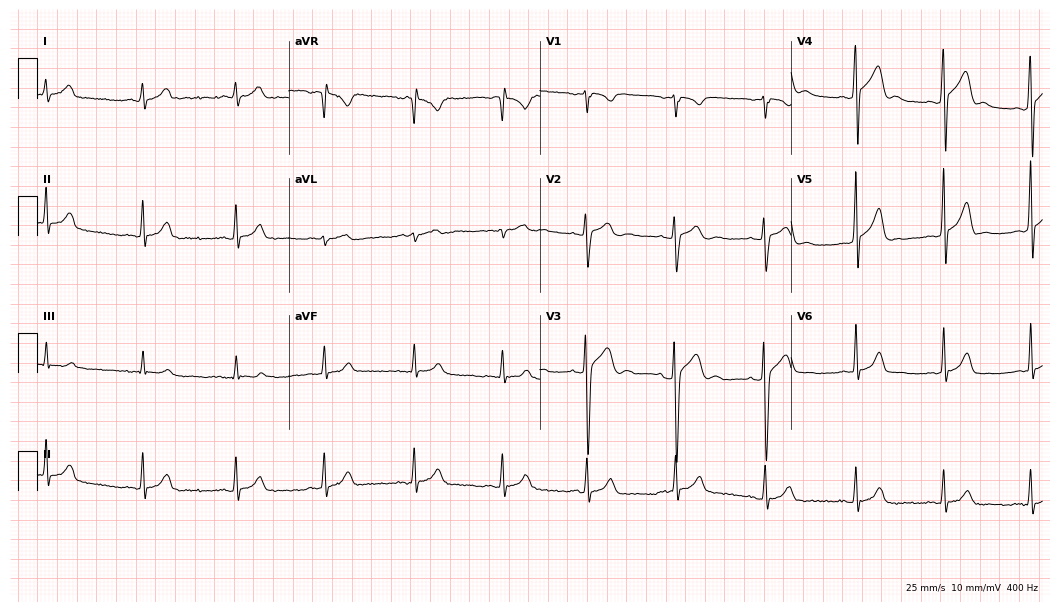
Electrocardiogram, a 23-year-old man. Of the six screened findings (first-degree AV block, right bundle branch block, left bundle branch block, sinus bradycardia, atrial fibrillation, sinus tachycardia), none is recorded.